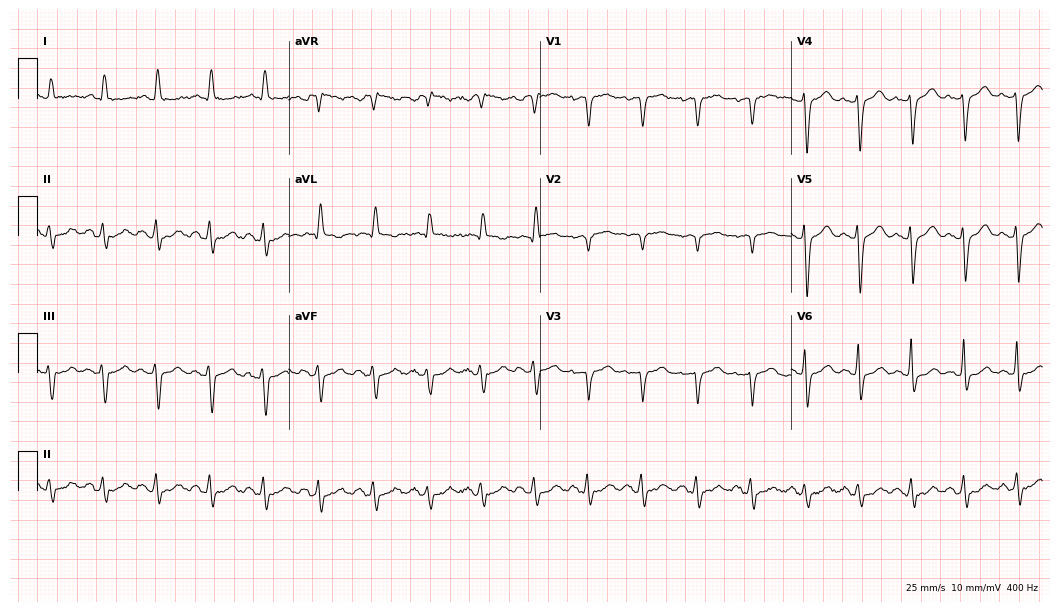
Resting 12-lead electrocardiogram (10.2-second recording at 400 Hz). Patient: a 63-year-old female. The tracing shows sinus tachycardia (a sinus rate of 100 beats per minute or more).